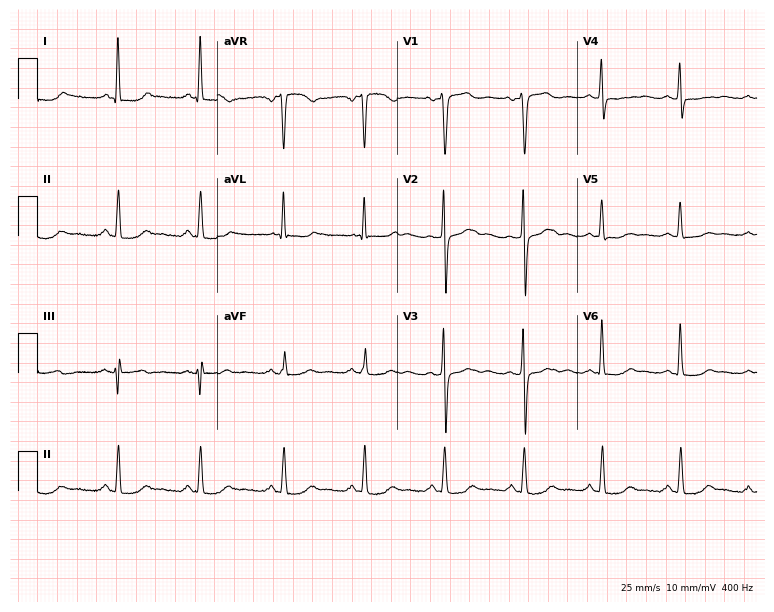
Electrocardiogram, a 54-year-old woman. Of the six screened findings (first-degree AV block, right bundle branch block, left bundle branch block, sinus bradycardia, atrial fibrillation, sinus tachycardia), none is recorded. Findings outside these six are not listed.